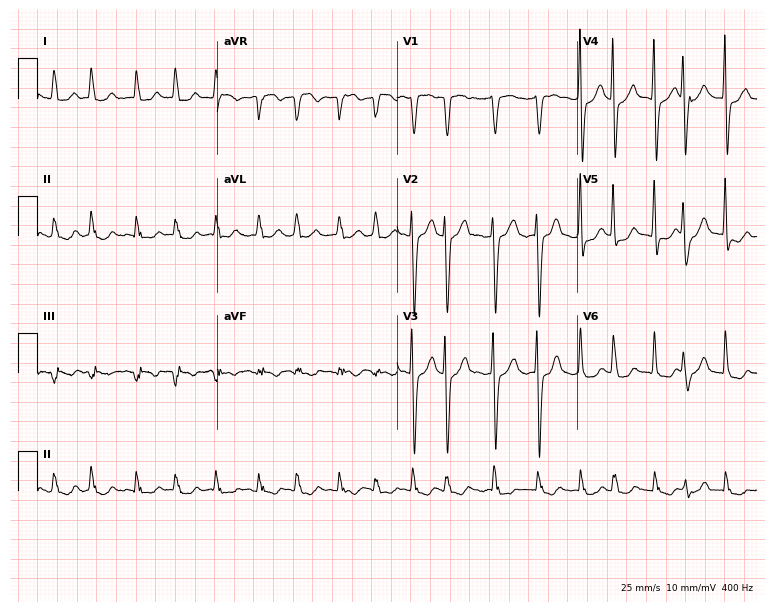
ECG — a female patient, 80 years old. Findings include atrial fibrillation (AF).